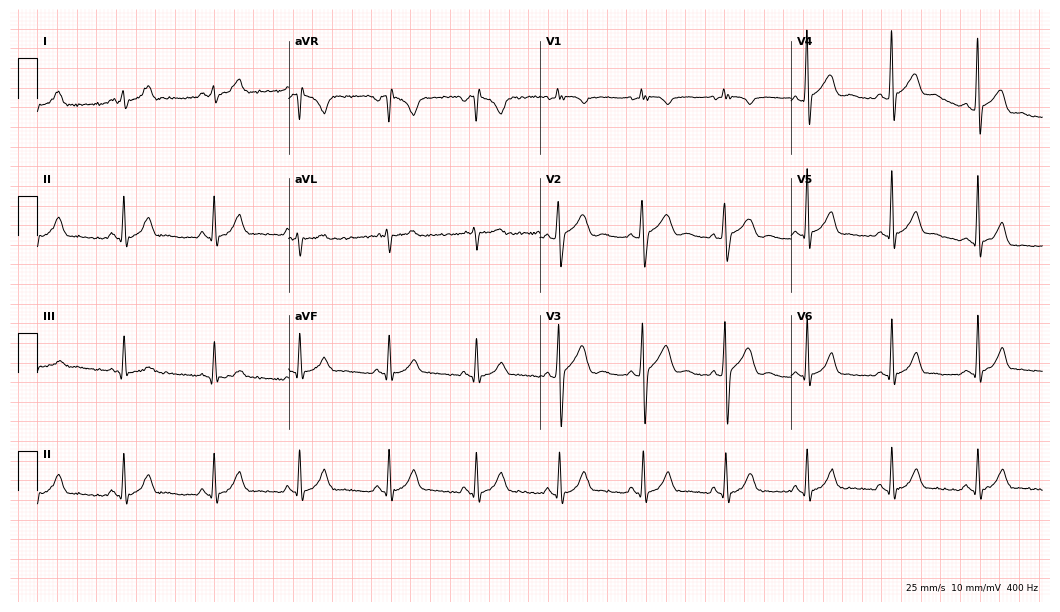
Resting 12-lead electrocardiogram (10.2-second recording at 400 Hz). Patient: a 20-year-old male. Read as a normal ECG.